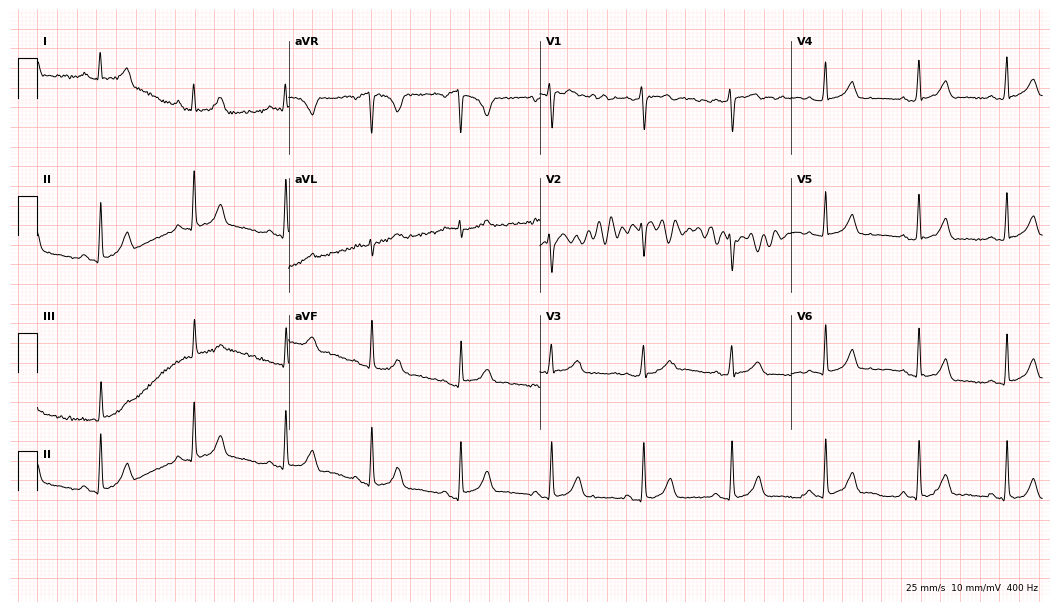
12-lead ECG (10.2-second recording at 400 Hz) from a female patient, 25 years old. Labelled as a normal ECG.